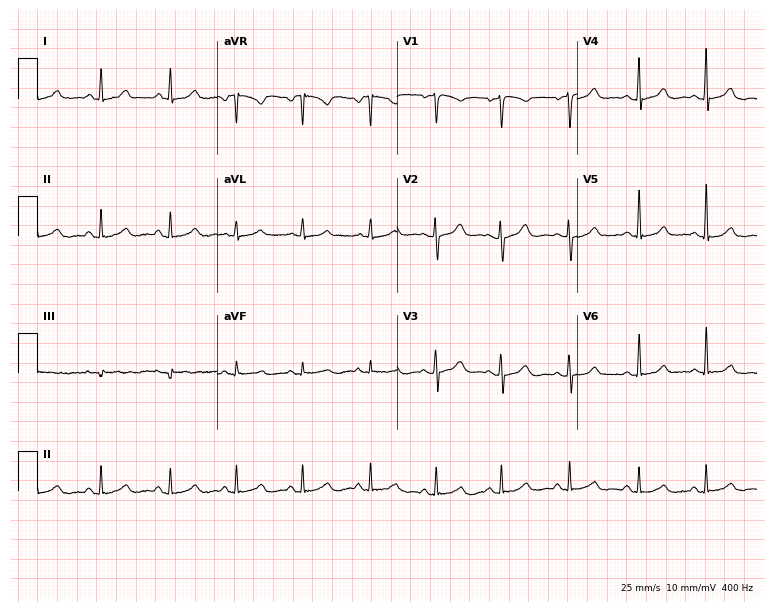
Resting 12-lead electrocardiogram (7.3-second recording at 400 Hz). Patient: a woman, 40 years old. Read as a normal ECG.